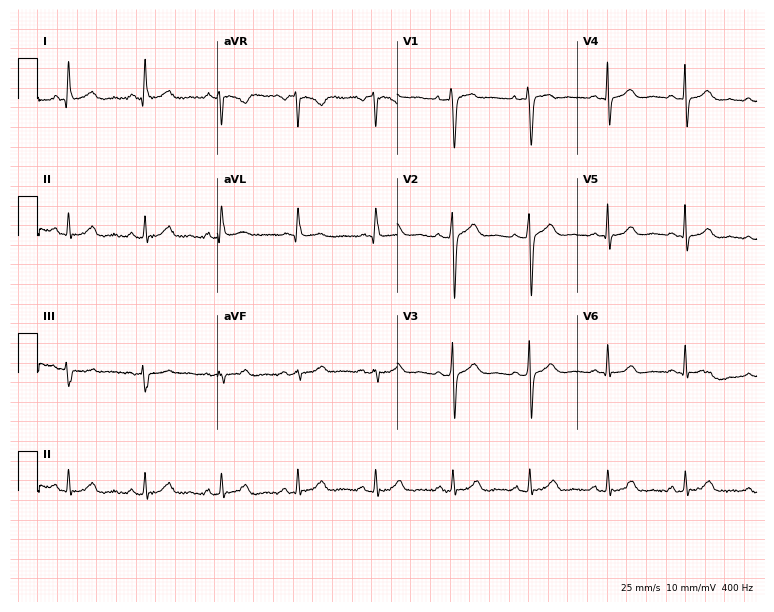
Standard 12-lead ECG recorded from a 55-year-old woman. None of these six findings is recorded: first-degree AV block, right bundle branch block, left bundle branch block, sinus bradycardia, atrial fibrillation, sinus tachycardia.